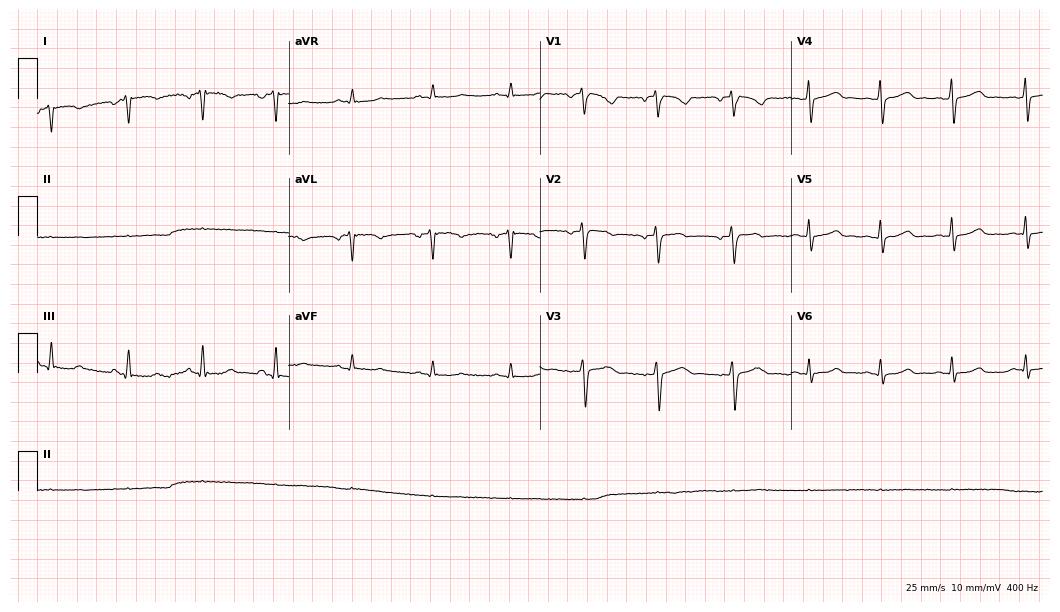
Electrocardiogram (10.2-second recording at 400 Hz), a 26-year-old woman. Of the six screened findings (first-degree AV block, right bundle branch block, left bundle branch block, sinus bradycardia, atrial fibrillation, sinus tachycardia), none is recorded. Other findings, if any, are not listed.